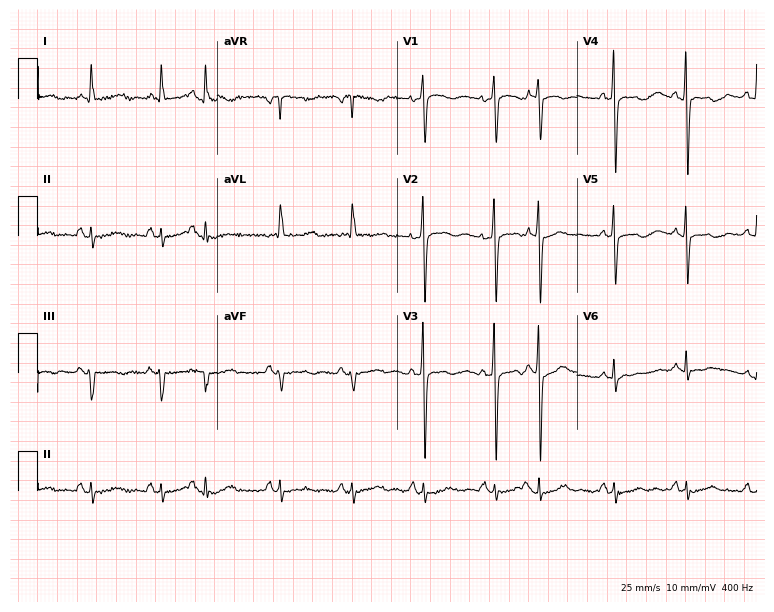
12-lead ECG from a 76-year-old woman (7.3-second recording at 400 Hz). No first-degree AV block, right bundle branch block (RBBB), left bundle branch block (LBBB), sinus bradycardia, atrial fibrillation (AF) or sinus tachycardia recorded for this tracing.